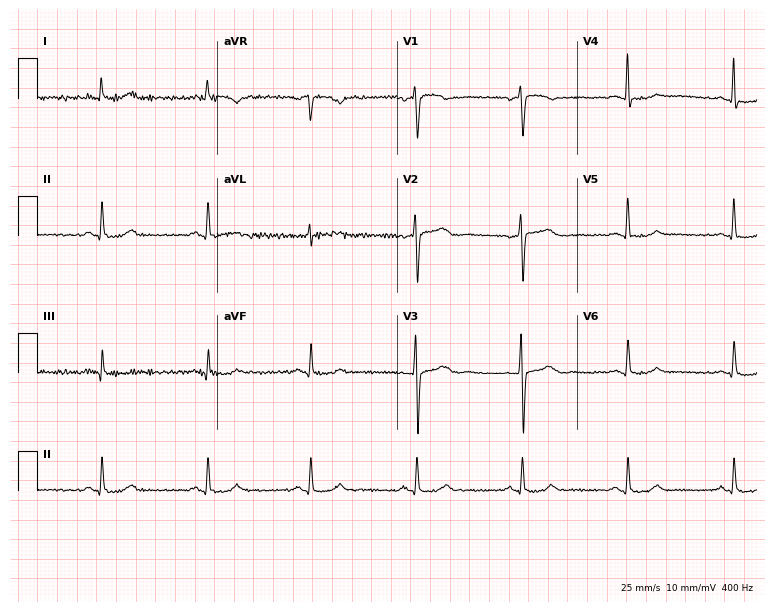
Standard 12-lead ECG recorded from a 55-year-old woman (7.3-second recording at 400 Hz). Read as a normal ECG.